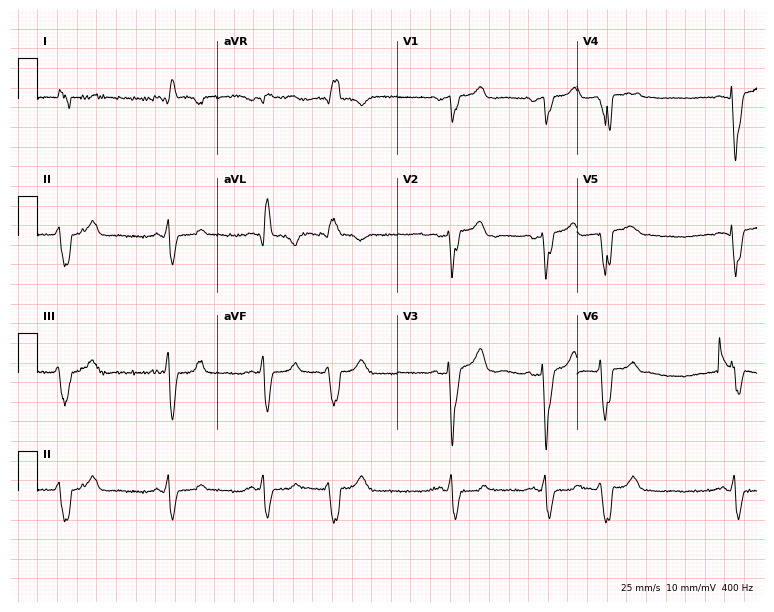
Electrocardiogram, a 63-year-old male patient. Interpretation includes left bundle branch block.